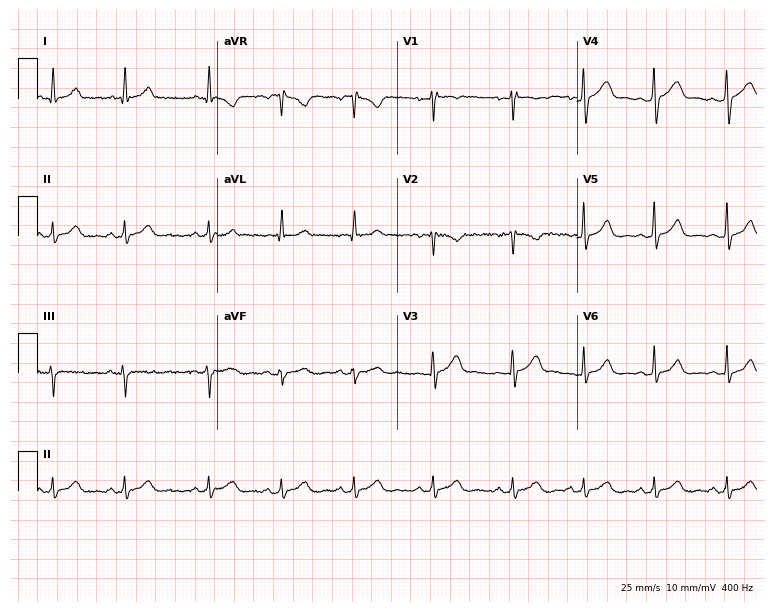
ECG — a 28-year-old woman. Labelled as a normal ECG.